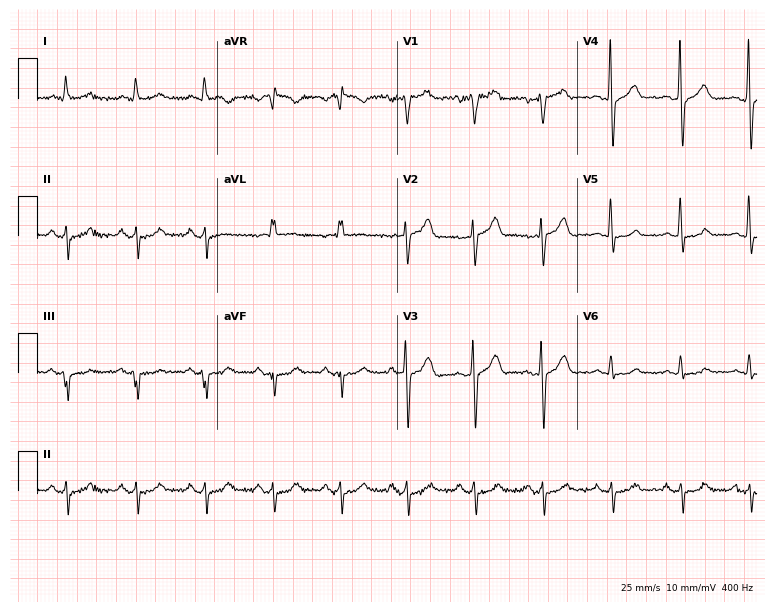
Standard 12-lead ECG recorded from a 67-year-old male. None of these six findings is recorded: first-degree AV block, right bundle branch block (RBBB), left bundle branch block (LBBB), sinus bradycardia, atrial fibrillation (AF), sinus tachycardia.